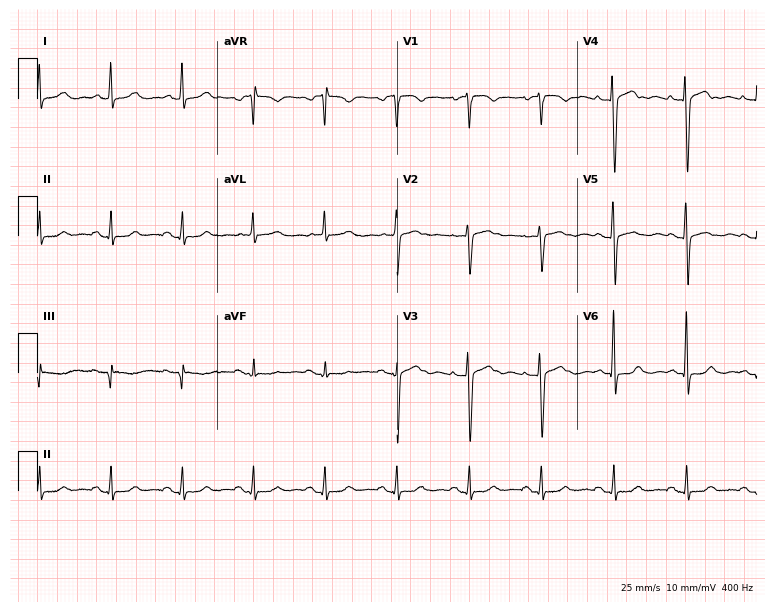
12-lead ECG from a 72-year-old female patient (7.3-second recording at 400 Hz). No first-degree AV block, right bundle branch block, left bundle branch block, sinus bradycardia, atrial fibrillation or sinus tachycardia recorded for this tracing.